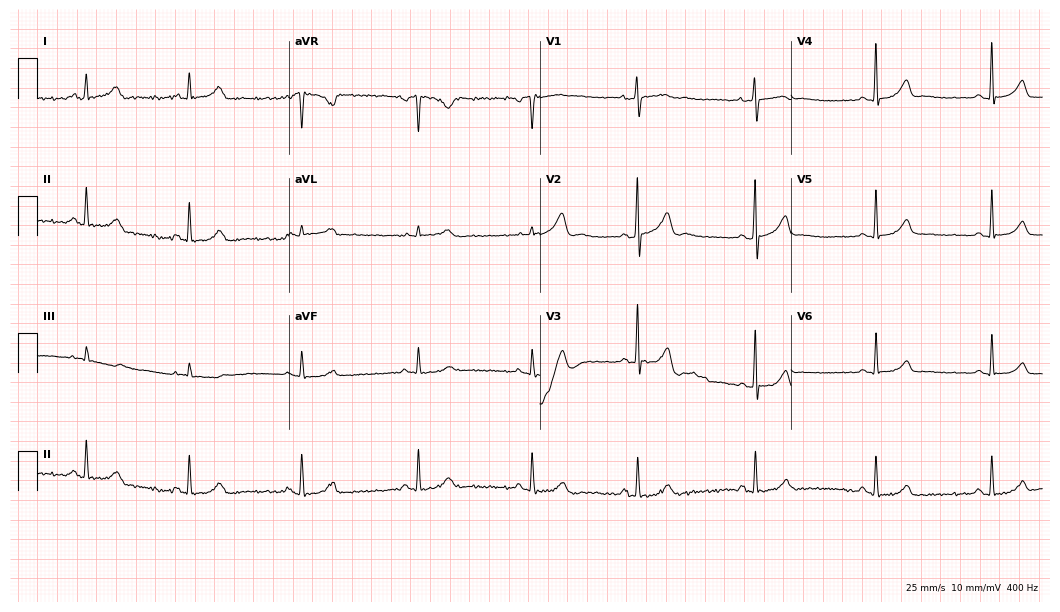
12-lead ECG from a 28-year-old female (10.2-second recording at 400 Hz). No first-degree AV block, right bundle branch block, left bundle branch block, sinus bradycardia, atrial fibrillation or sinus tachycardia recorded for this tracing.